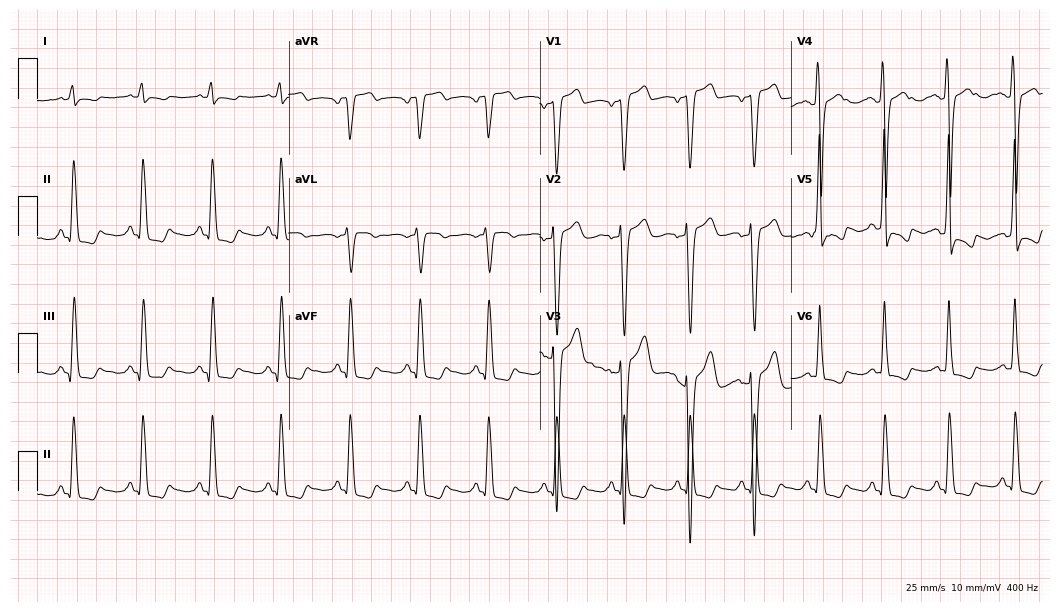
Electrocardiogram, a 56-year-old man. Interpretation includes left bundle branch block.